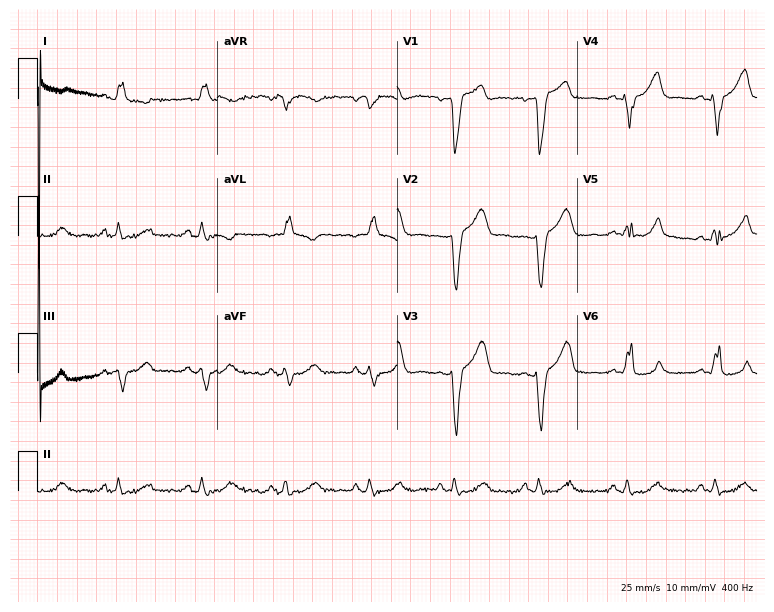
Standard 12-lead ECG recorded from a male, 73 years old. The tracing shows left bundle branch block.